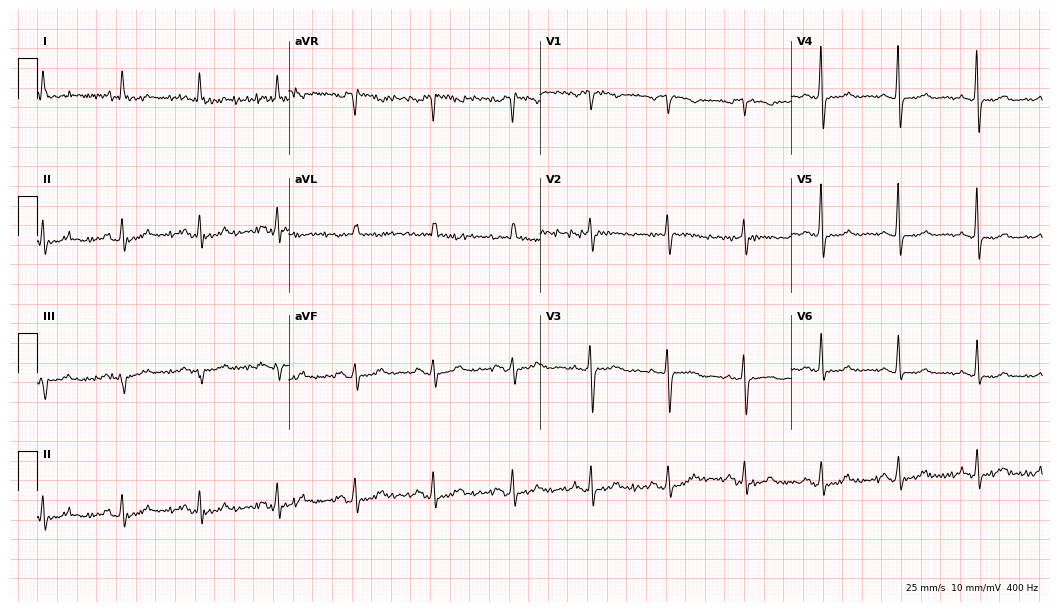
Resting 12-lead electrocardiogram (10.2-second recording at 400 Hz). Patient: a female, 83 years old. None of these six findings is recorded: first-degree AV block, right bundle branch block (RBBB), left bundle branch block (LBBB), sinus bradycardia, atrial fibrillation (AF), sinus tachycardia. Only these six findings were labelled.